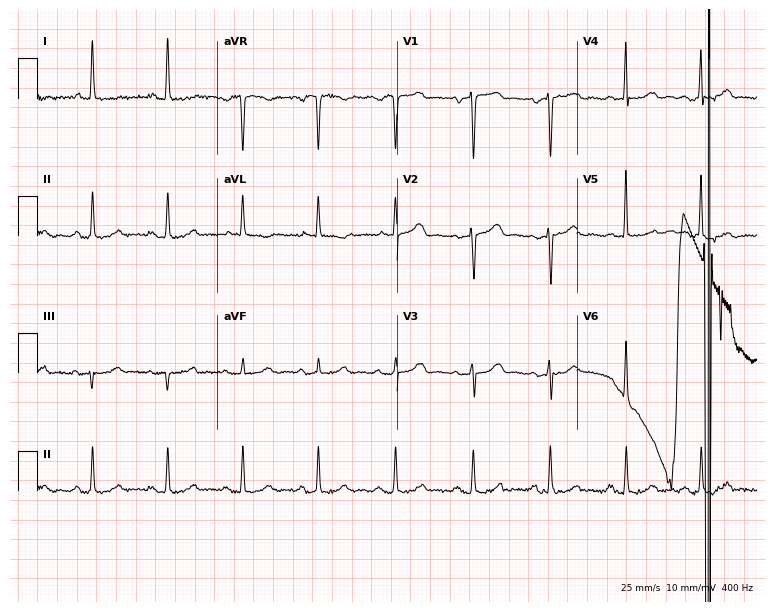
Electrocardiogram, a woman, 74 years old. Of the six screened findings (first-degree AV block, right bundle branch block (RBBB), left bundle branch block (LBBB), sinus bradycardia, atrial fibrillation (AF), sinus tachycardia), none is recorded. Findings outside these six are not listed.